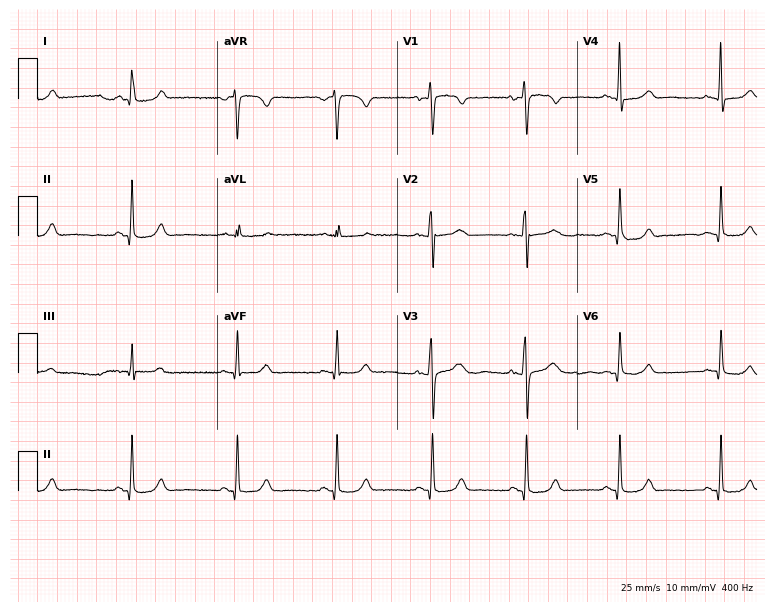
ECG — a 50-year-old female patient. Screened for six findings — first-degree AV block, right bundle branch block, left bundle branch block, sinus bradycardia, atrial fibrillation, sinus tachycardia — none is recorded.